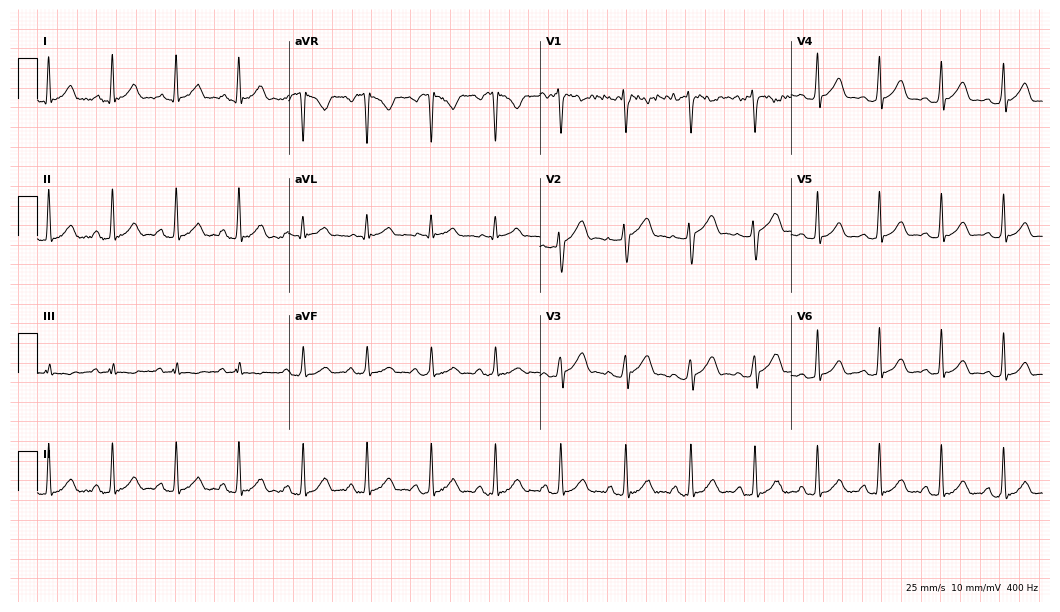
ECG (10.2-second recording at 400 Hz) — a 27-year-old woman. Labelled as a normal ECG.